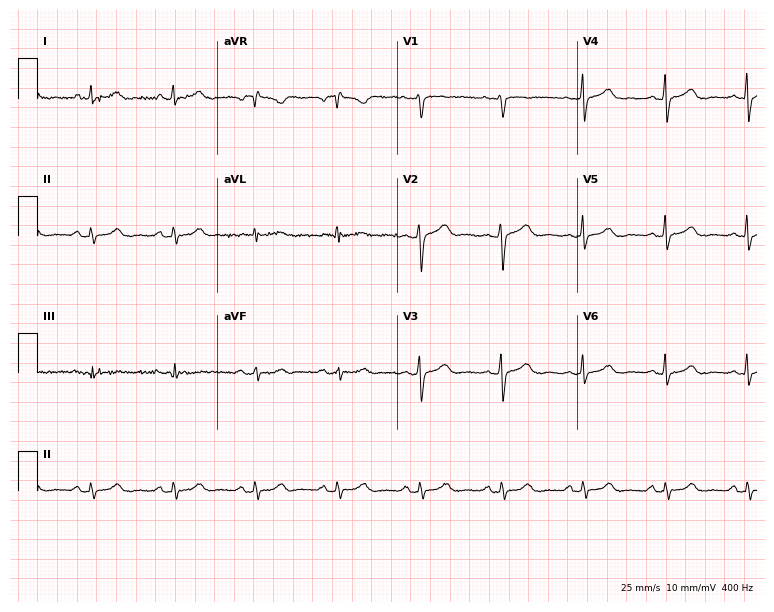
12-lead ECG (7.3-second recording at 400 Hz) from a 45-year-old female. Screened for six findings — first-degree AV block, right bundle branch block, left bundle branch block, sinus bradycardia, atrial fibrillation, sinus tachycardia — none is recorded. Findings outside these six are not listed.